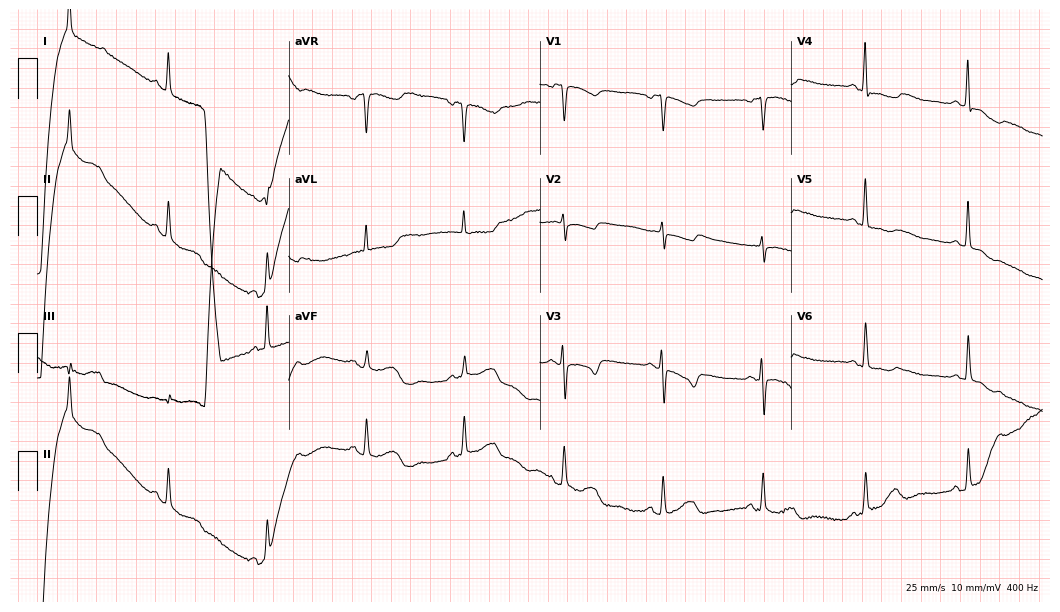
Electrocardiogram (10.2-second recording at 400 Hz), a female, 60 years old. Overall reading on record: normal ECG.